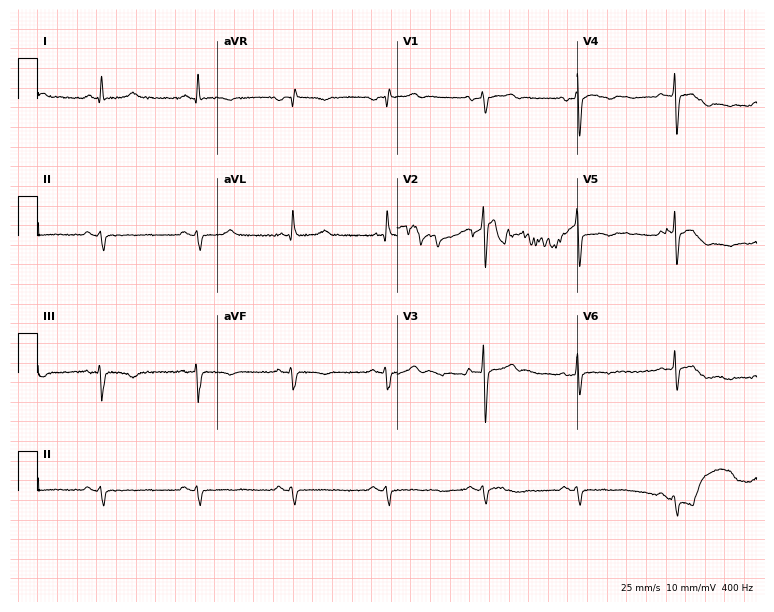
Resting 12-lead electrocardiogram. Patient: a male, 47 years old. None of these six findings is recorded: first-degree AV block, right bundle branch block, left bundle branch block, sinus bradycardia, atrial fibrillation, sinus tachycardia. Only these six findings were labelled.